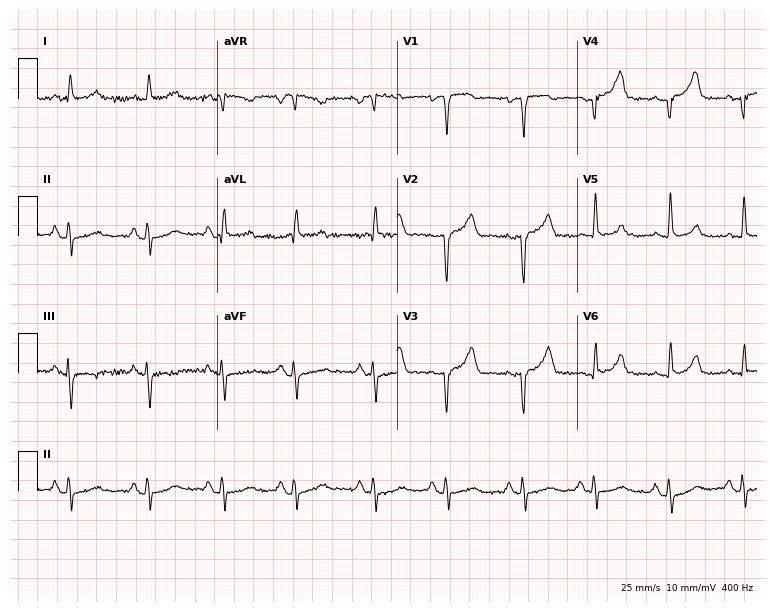
Standard 12-lead ECG recorded from a female, 75 years old. None of these six findings is recorded: first-degree AV block, right bundle branch block (RBBB), left bundle branch block (LBBB), sinus bradycardia, atrial fibrillation (AF), sinus tachycardia. Findings outside these six are not listed.